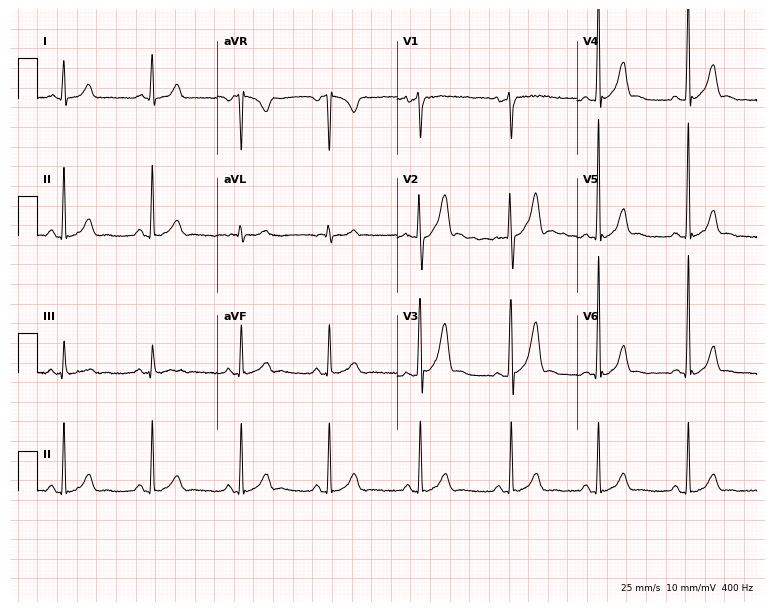
Electrocardiogram, a 24-year-old man. Overall reading on record: normal ECG.